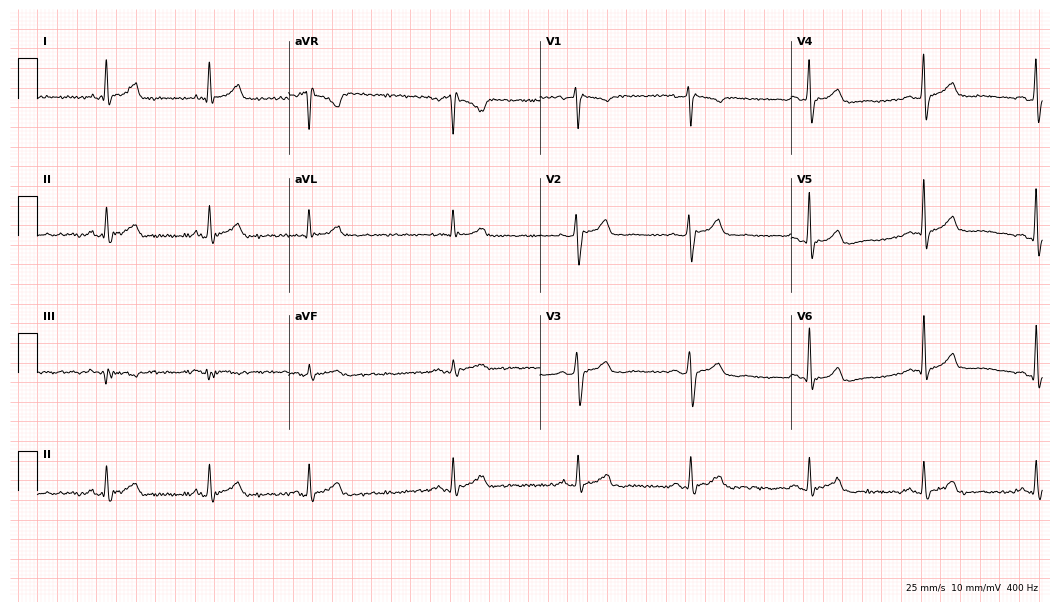
Electrocardiogram, a 49-year-old male. Of the six screened findings (first-degree AV block, right bundle branch block, left bundle branch block, sinus bradycardia, atrial fibrillation, sinus tachycardia), none is recorded. Other findings, if any, are not listed.